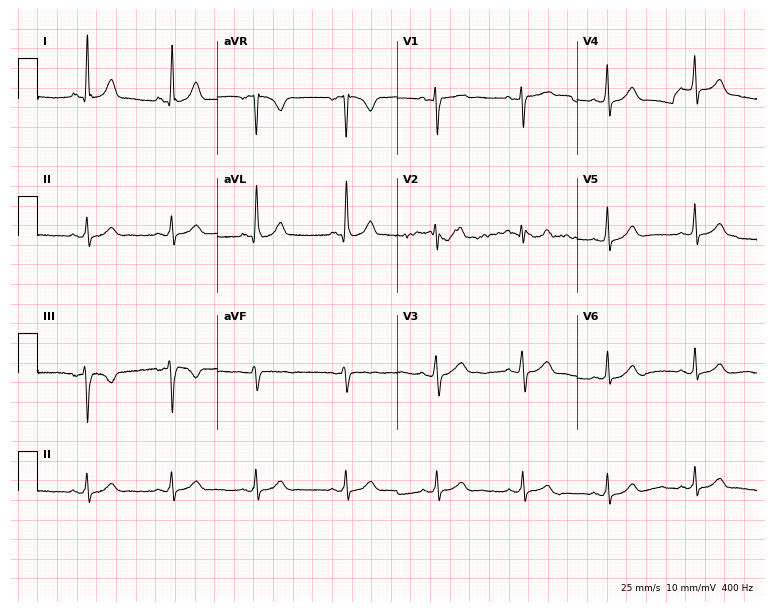
Resting 12-lead electrocardiogram. Patient: a man, 35 years old. Read as a normal ECG.